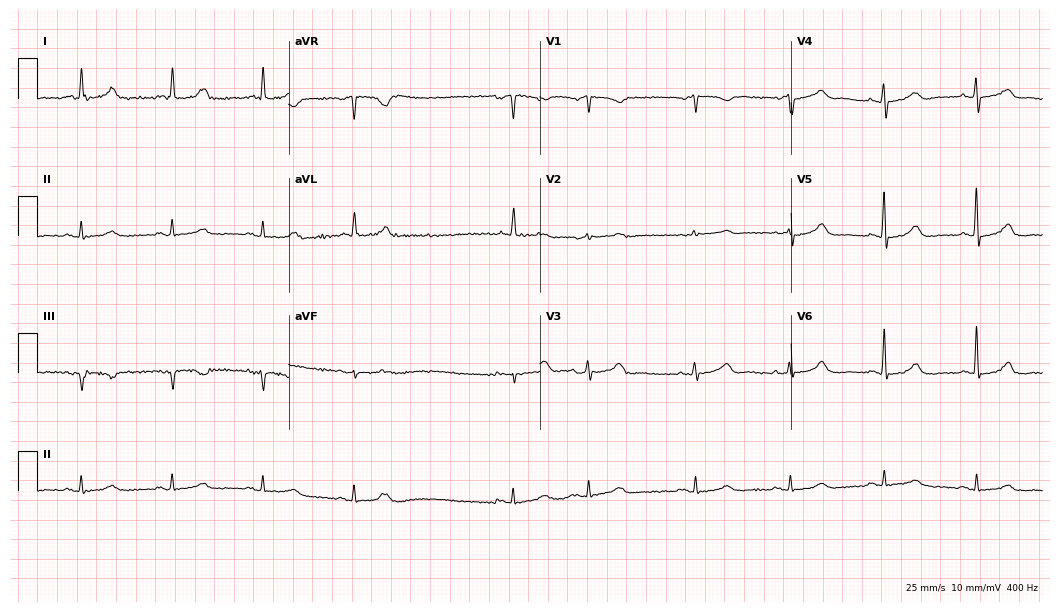
ECG (10.2-second recording at 400 Hz) — a 70-year-old woman. Screened for six findings — first-degree AV block, right bundle branch block, left bundle branch block, sinus bradycardia, atrial fibrillation, sinus tachycardia — none is recorded. Only these six findings were labelled.